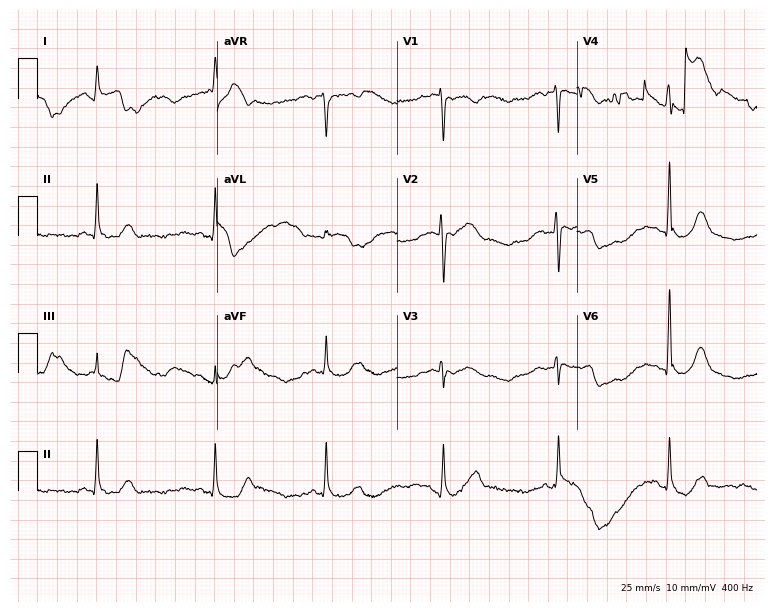
12-lead ECG (7.3-second recording at 400 Hz) from a 49-year-old woman. Labelled as a normal ECG.